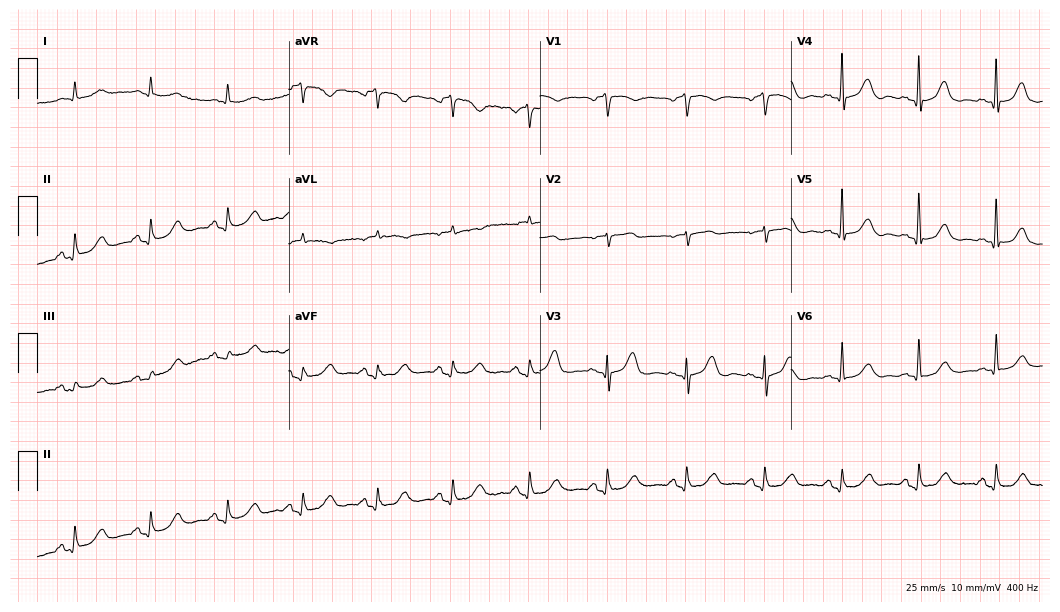
Standard 12-lead ECG recorded from a man, 79 years old (10.2-second recording at 400 Hz). Read as a normal ECG.